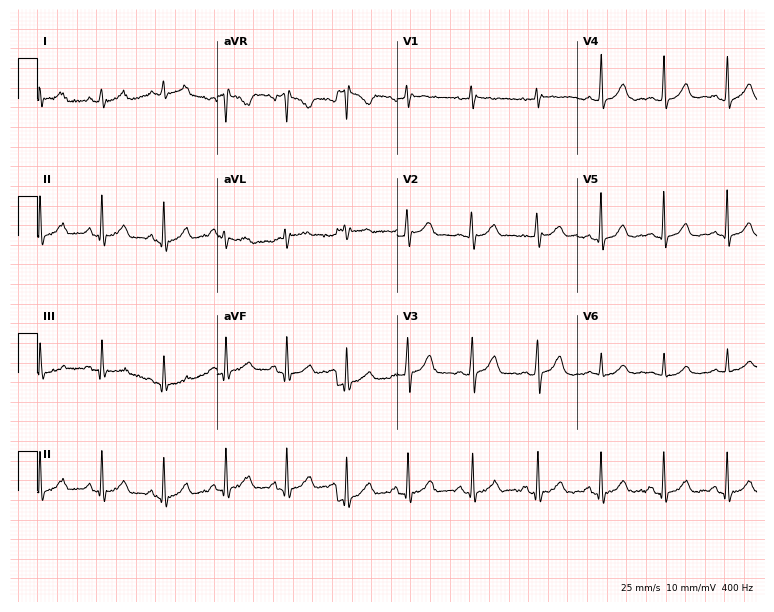
Standard 12-lead ECG recorded from a female, 44 years old (7.3-second recording at 400 Hz). None of these six findings is recorded: first-degree AV block, right bundle branch block, left bundle branch block, sinus bradycardia, atrial fibrillation, sinus tachycardia.